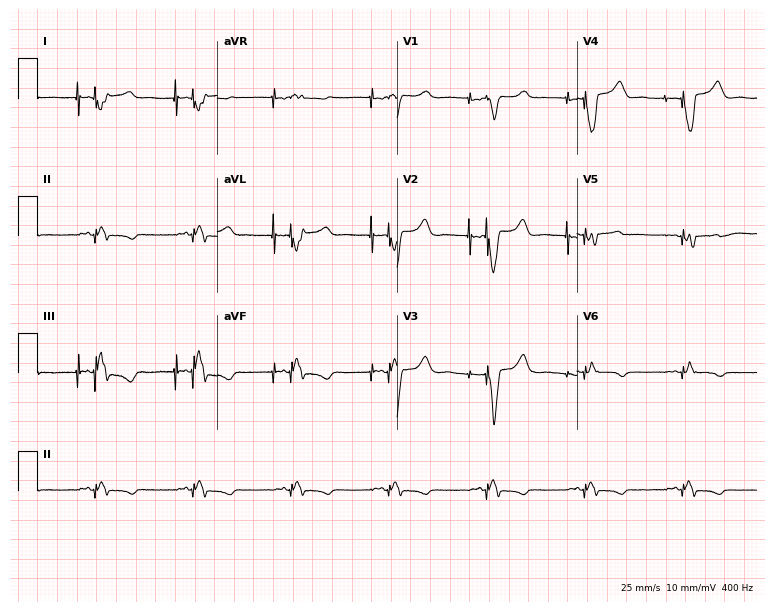
Standard 12-lead ECG recorded from a 43-year-old female patient. None of these six findings is recorded: first-degree AV block, right bundle branch block (RBBB), left bundle branch block (LBBB), sinus bradycardia, atrial fibrillation (AF), sinus tachycardia.